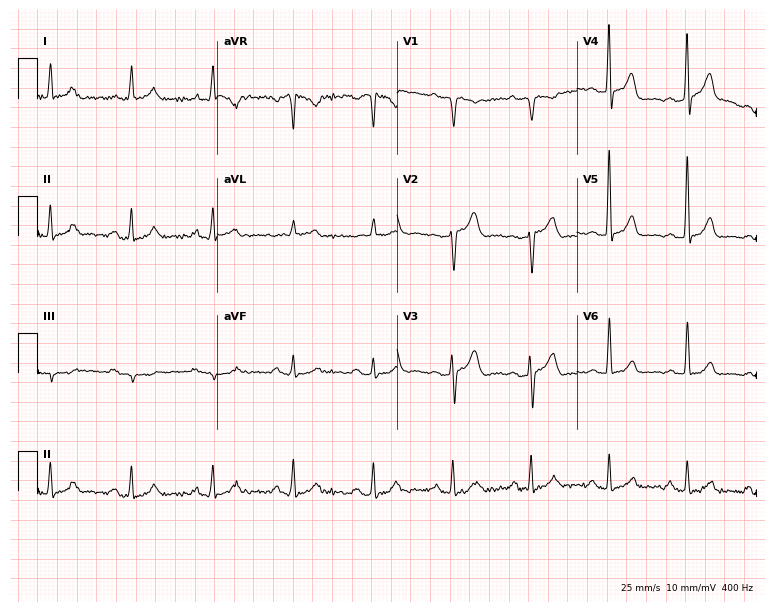
12-lead ECG from a man, 62 years old (7.3-second recording at 400 Hz). No first-degree AV block, right bundle branch block, left bundle branch block, sinus bradycardia, atrial fibrillation or sinus tachycardia recorded for this tracing.